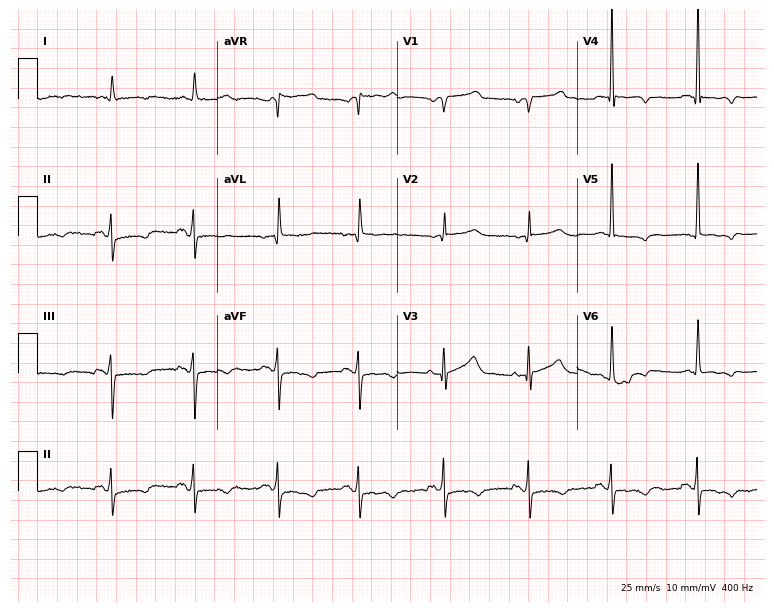
Resting 12-lead electrocardiogram. Patient: a woman, 80 years old. None of these six findings is recorded: first-degree AV block, right bundle branch block (RBBB), left bundle branch block (LBBB), sinus bradycardia, atrial fibrillation (AF), sinus tachycardia.